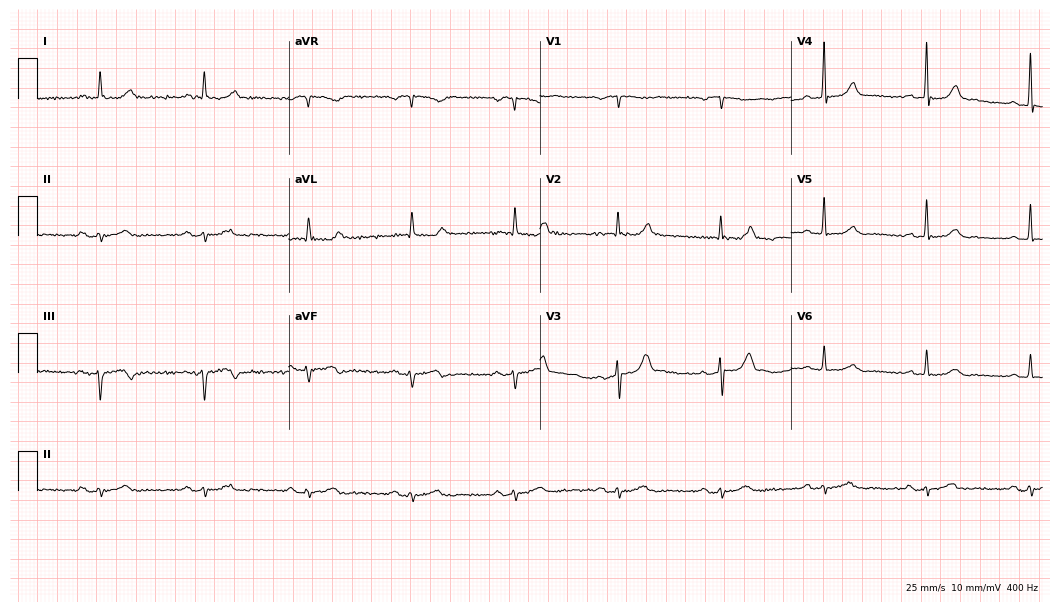
12-lead ECG (10.2-second recording at 400 Hz) from an 82-year-old man. Screened for six findings — first-degree AV block, right bundle branch block, left bundle branch block, sinus bradycardia, atrial fibrillation, sinus tachycardia — none is recorded. Findings outside these six are not listed.